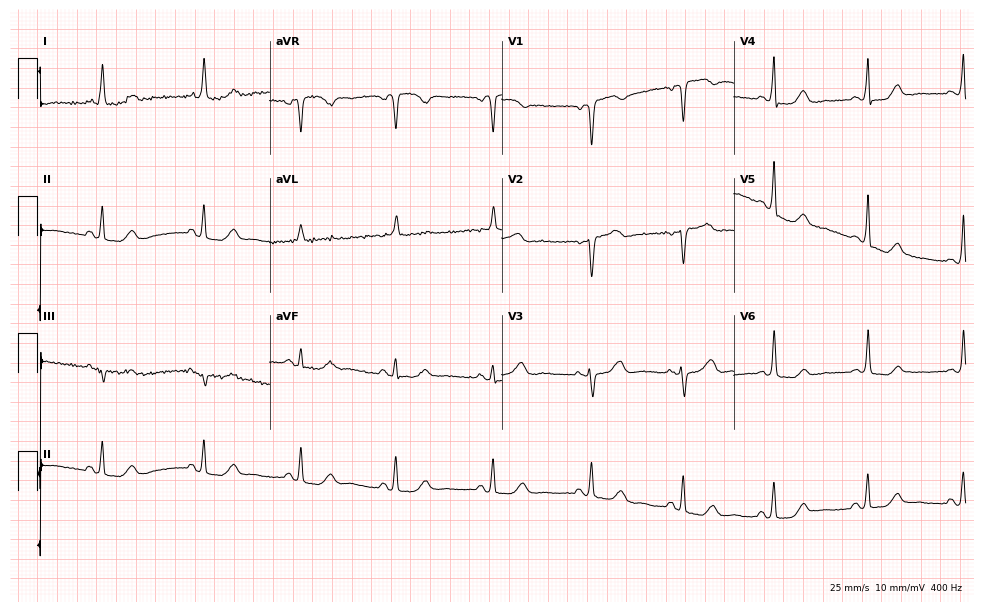
12-lead ECG (9.5-second recording at 400 Hz) from a woman, 69 years old. Labelled as a normal ECG.